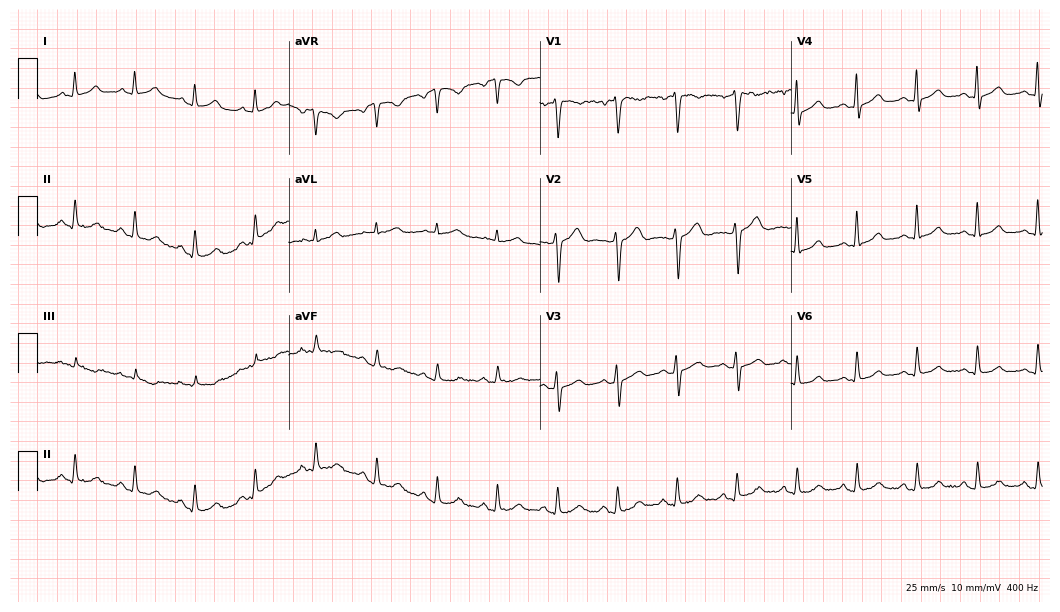
ECG (10.2-second recording at 400 Hz) — a 38-year-old male. Screened for six findings — first-degree AV block, right bundle branch block (RBBB), left bundle branch block (LBBB), sinus bradycardia, atrial fibrillation (AF), sinus tachycardia — none is recorded.